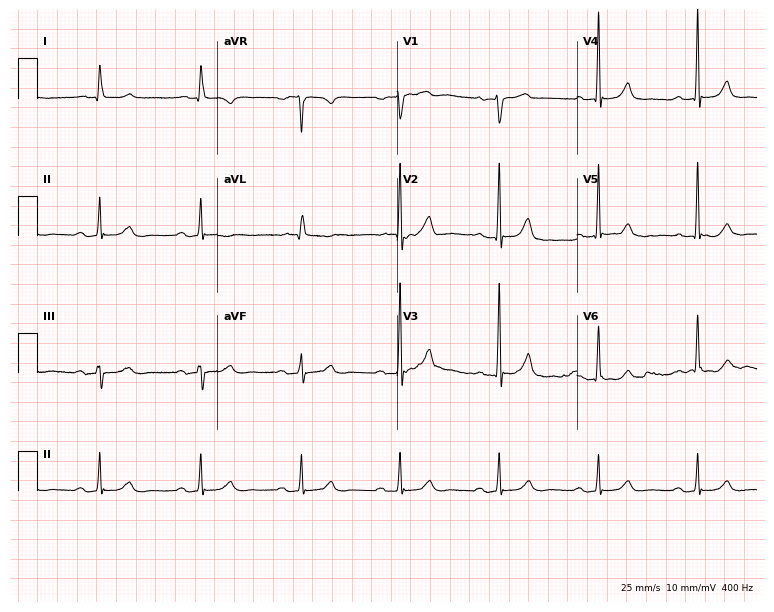
ECG — a male, 68 years old. Screened for six findings — first-degree AV block, right bundle branch block, left bundle branch block, sinus bradycardia, atrial fibrillation, sinus tachycardia — none is recorded.